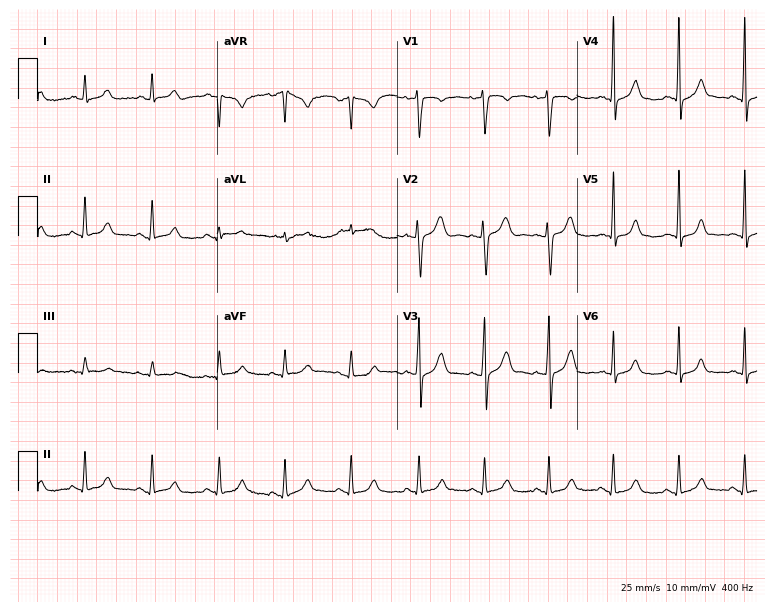
ECG (7.3-second recording at 400 Hz) — a 37-year-old female patient. Labelled as a normal ECG.